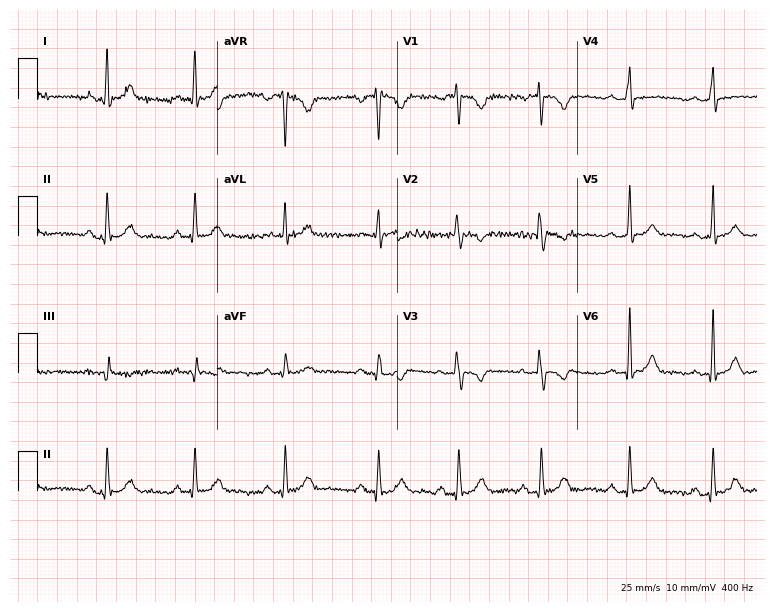
ECG (7.3-second recording at 400 Hz) — a 32-year-old female patient. Screened for six findings — first-degree AV block, right bundle branch block (RBBB), left bundle branch block (LBBB), sinus bradycardia, atrial fibrillation (AF), sinus tachycardia — none is recorded. Findings outside these six are not listed.